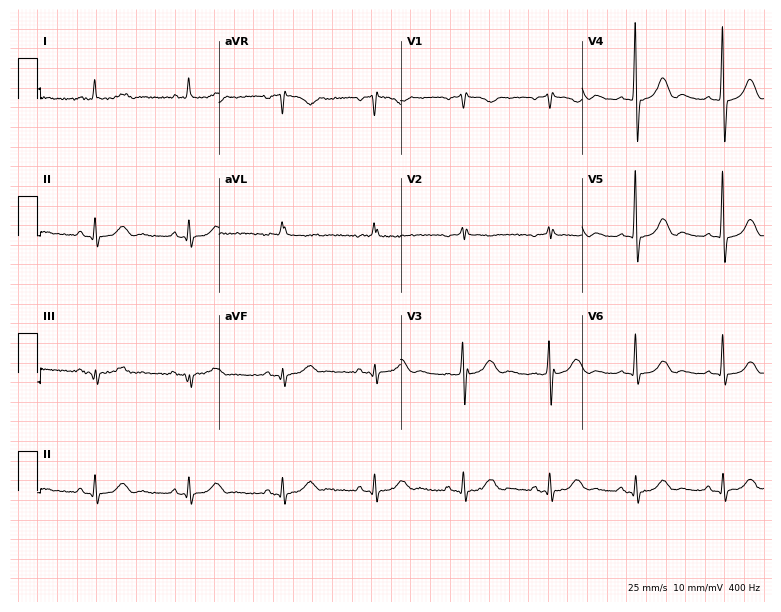
Standard 12-lead ECG recorded from a 77-year-old woman (7.4-second recording at 400 Hz). None of these six findings is recorded: first-degree AV block, right bundle branch block, left bundle branch block, sinus bradycardia, atrial fibrillation, sinus tachycardia. Other findings, if any, are not listed.